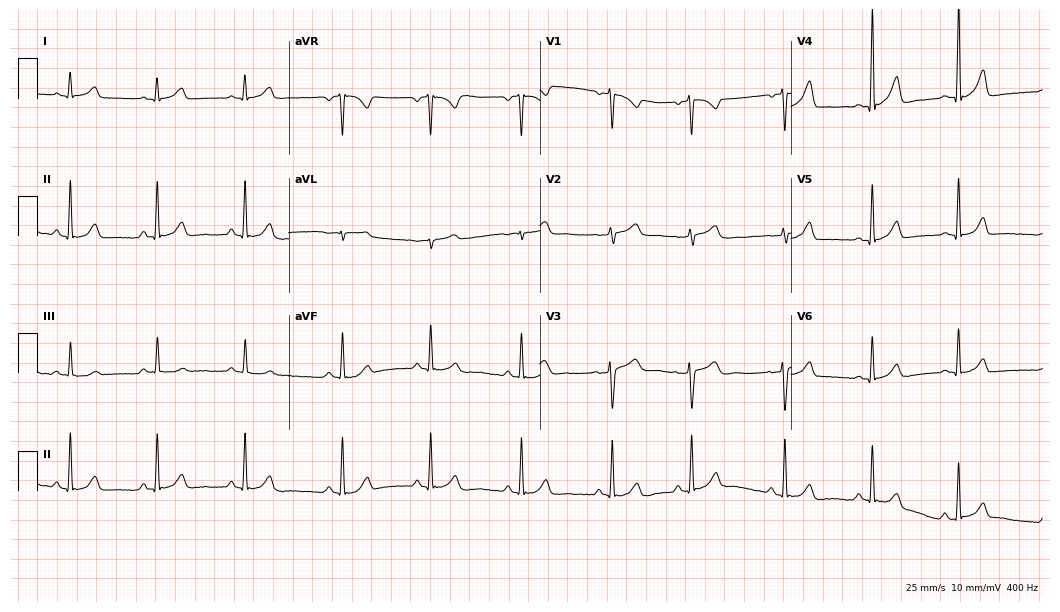
Resting 12-lead electrocardiogram. Patient: a 29-year-old female. Read as a normal ECG.